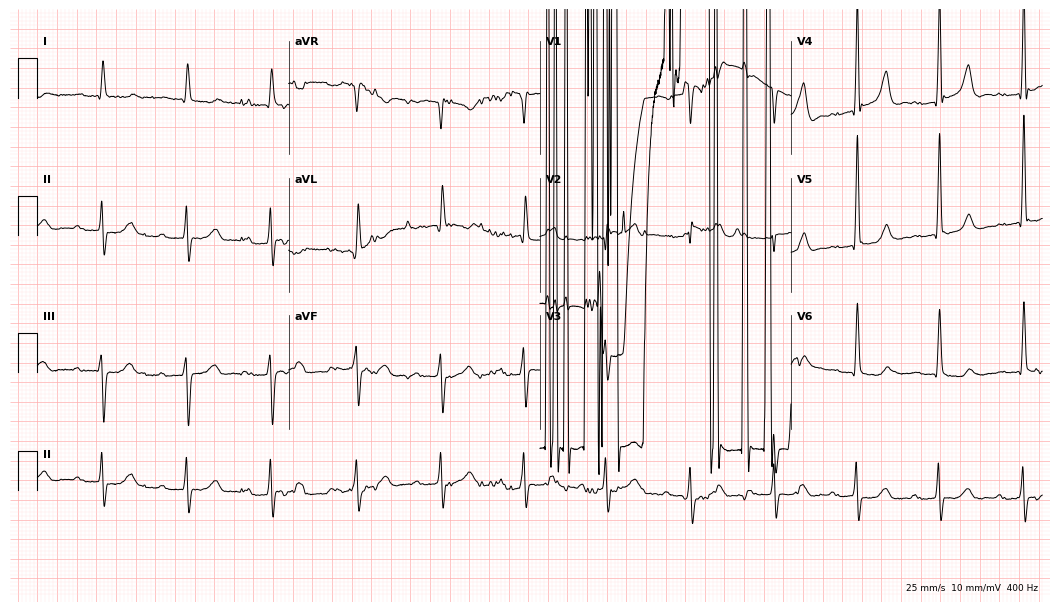
Standard 12-lead ECG recorded from a man, 85 years old (10.2-second recording at 400 Hz). None of these six findings is recorded: first-degree AV block, right bundle branch block (RBBB), left bundle branch block (LBBB), sinus bradycardia, atrial fibrillation (AF), sinus tachycardia. Only these six findings were labelled.